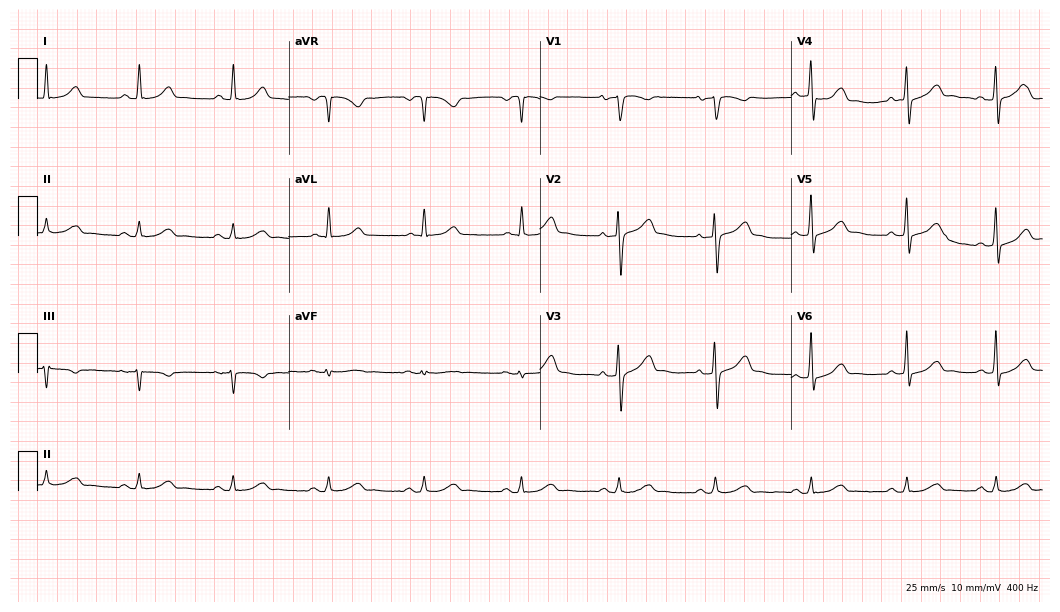
Standard 12-lead ECG recorded from a 53-year-old man (10.2-second recording at 400 Hz). Read as a normal ECG.